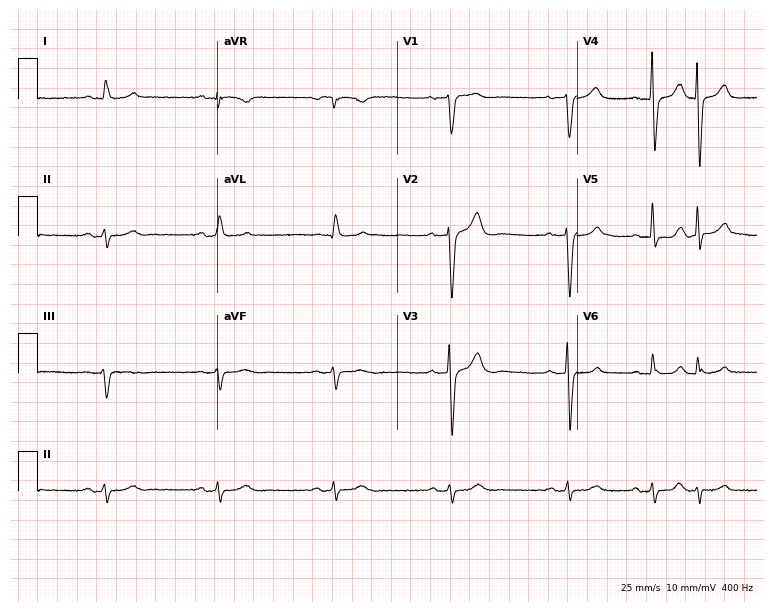
Electrocardiogram (7.3-second recording at 400 Hz), a 76-year-old man. Of the six screened findings (first-degree AV block, right bundle branch block, left bundle branch block, sinus bradycardia, atrial fibrillation, sinus tachycardia), none is recorded.